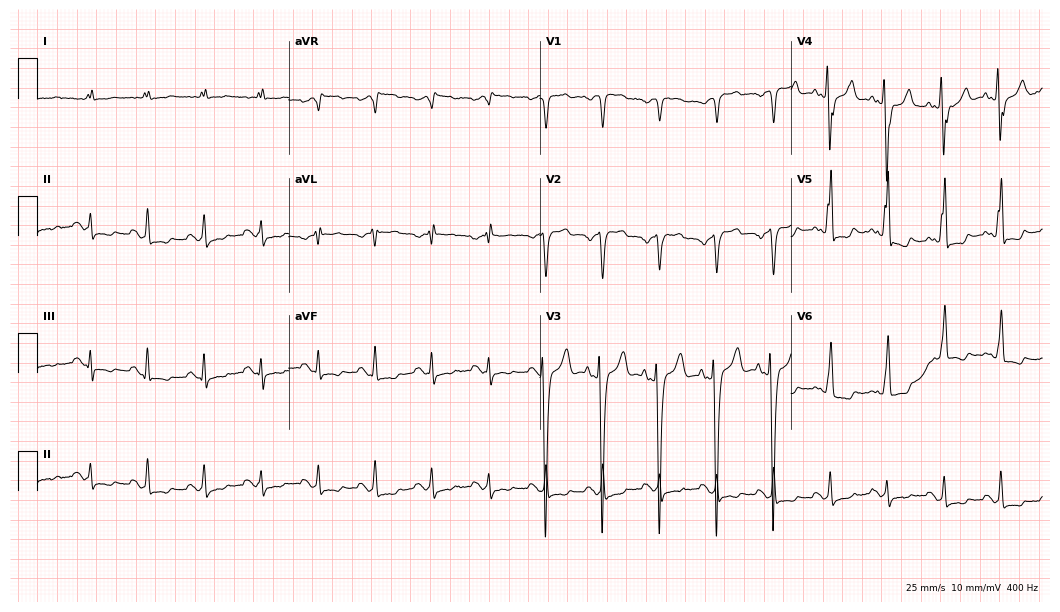
Resting 12-lead electrocardiogram (10.2-second recording at 400 Hz). Patient: a 71-year-old male. None of these six findings is recorded: first-degree AV block, right bundle branch block, left bundle branch block, sinus bradycardia, atrial fibrillation, sinus tachycardia.